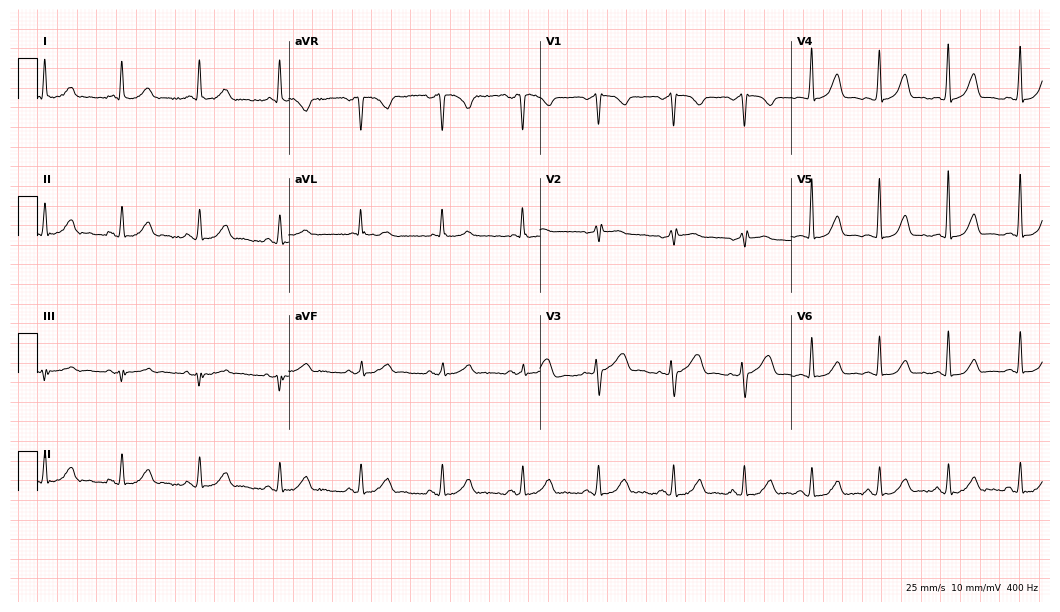
12-lead ECG (10.2-second recording at 400 Hz) from a 47-year-old female patient. Screened for six findings — first-degree AV block, right bundle branch block, left bundle branch block, sinus bradycardia, atrial fibrillation, sinus tachycardia — none is recorded. Findings outside these six are not listed.